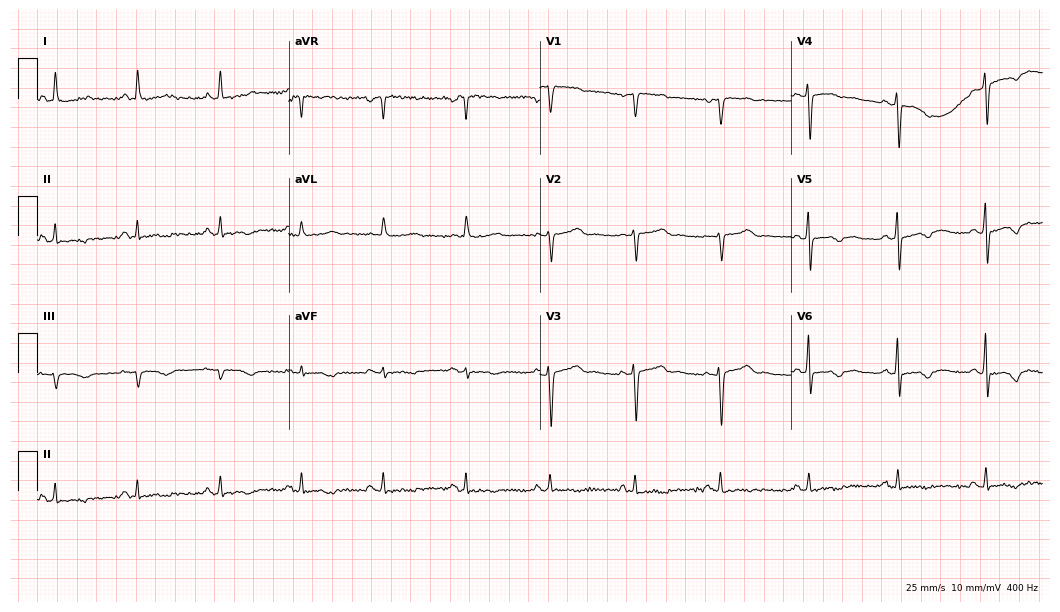
Standard 12-lead ECG recorded from a female, 56 years old (10.2-second recording at 400 Hz). None of these six findings is recorded: first-degree AV block, right bundle branch block, left bundle branch block, sinus bradycardia, atrial fibrillation, sinus tachycardia. Only these six findings were labelled.